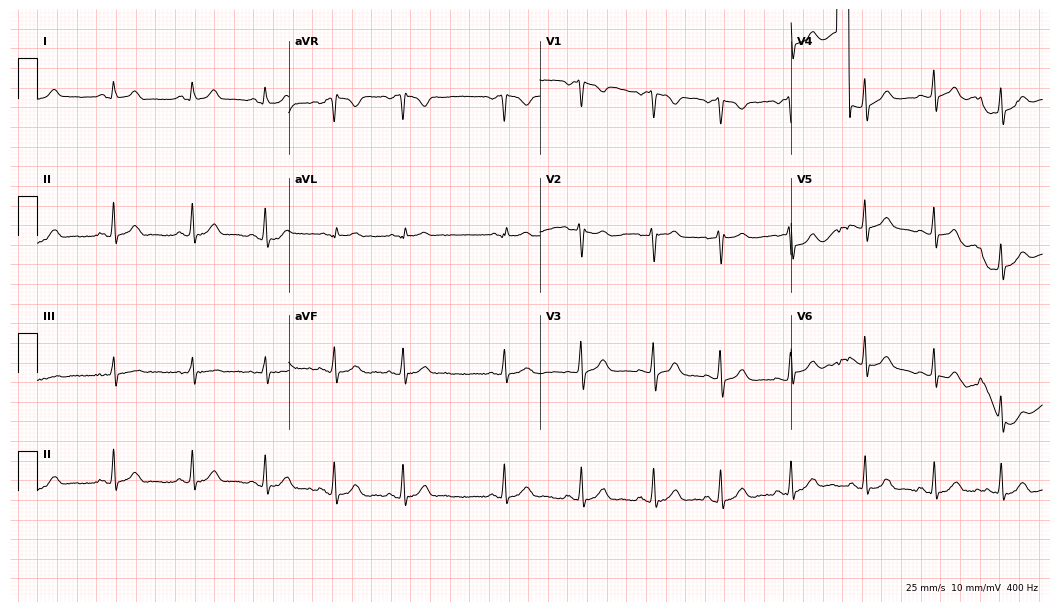
Resting 12-lead electrocardiogram (10.2-second recording at 400 Hz). Patient: an 18-year-old female. None of these six findings is recorded: first-degree AV block, right bundle branch block, left bundle branch block, sinus bradycardia, atrial fibrillation, sinus tachycardia. Other findings, if any, are not listed.